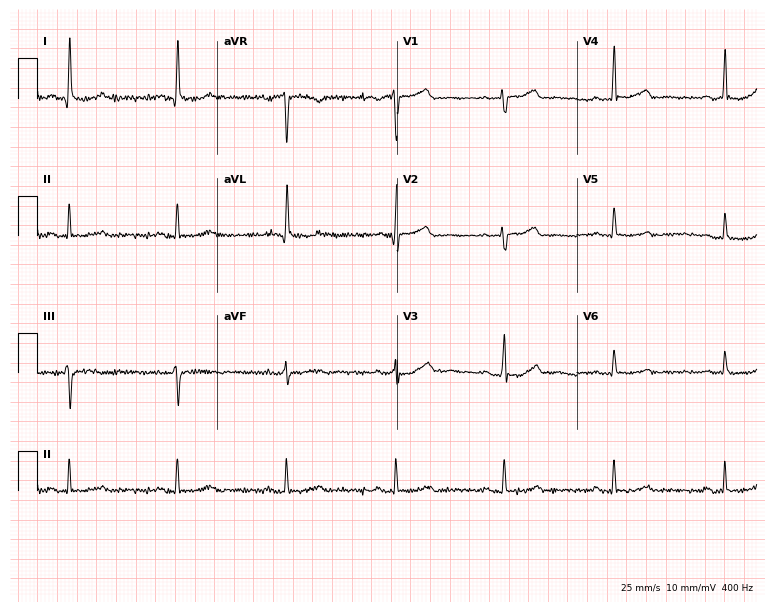
12-lead ECG from a female patient, 55 years old (7.3-second recording at 400 Hz). Recorded interpretation: within normal limits.